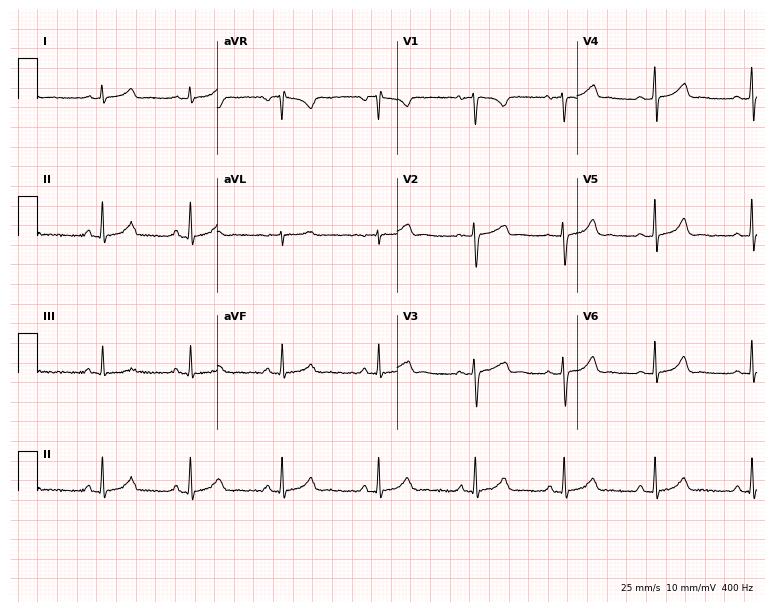
Resting 12-lead electrocardiogram. Patient: a female, 27 years old. Read as a normal ECG.